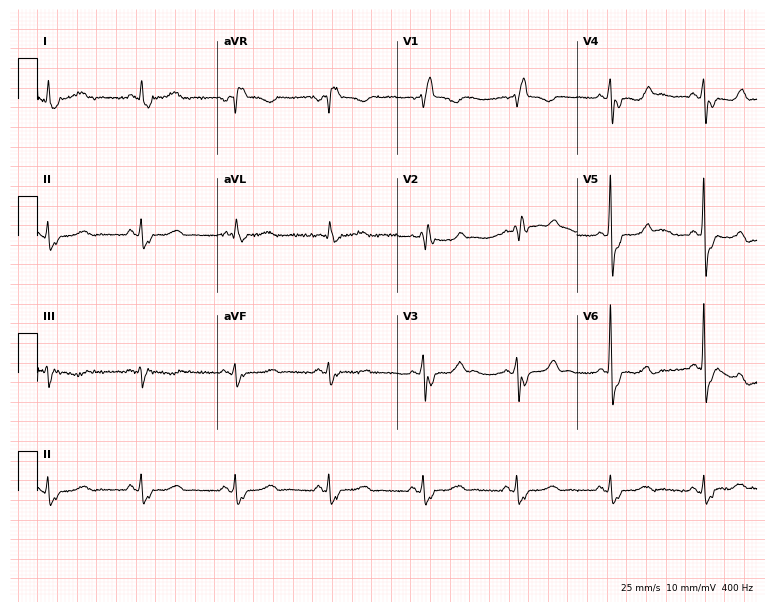
ECG — a woman, 74 years old. Findings include right bundle branch block.